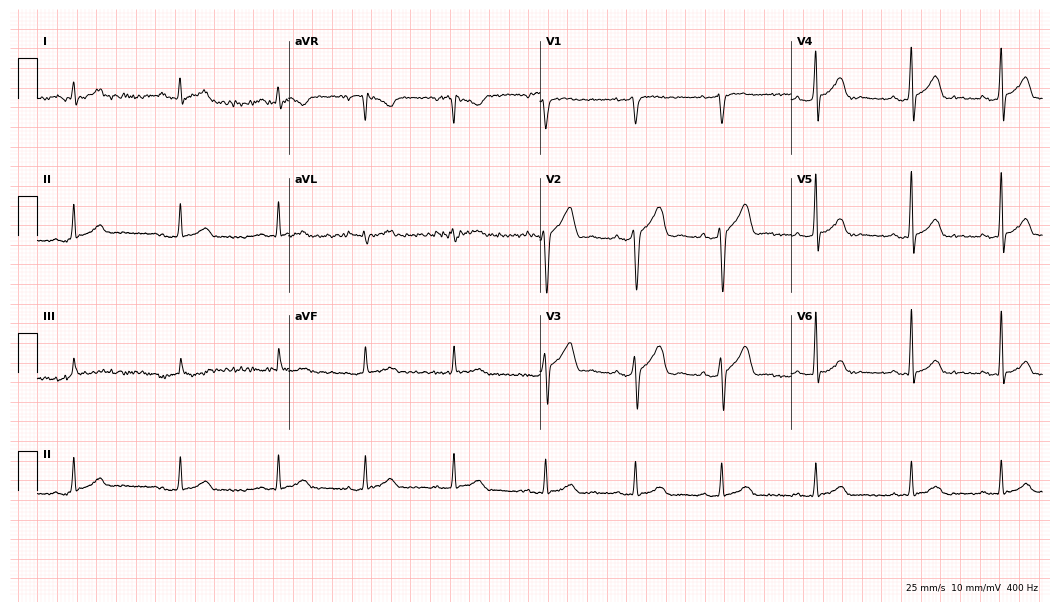
ECG — a man, 29 years old. Labelled as a normal ECG.